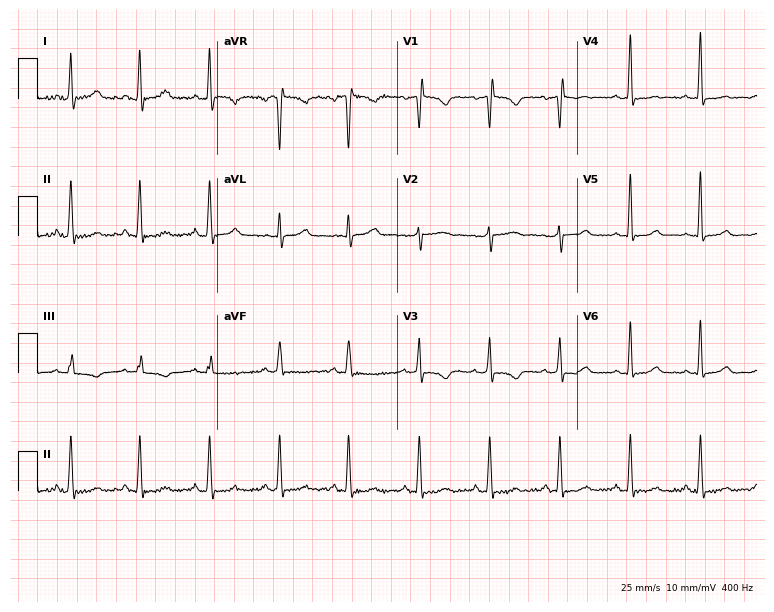
Resting 12-lead electrocardiogram. Patient: a female, 44 years old. None of these six findings is recorded: first-degree AV block, right bundle branch block, left bundle branch block, sinus bradycardia, atrial fibrillation, sinus tachycardia.